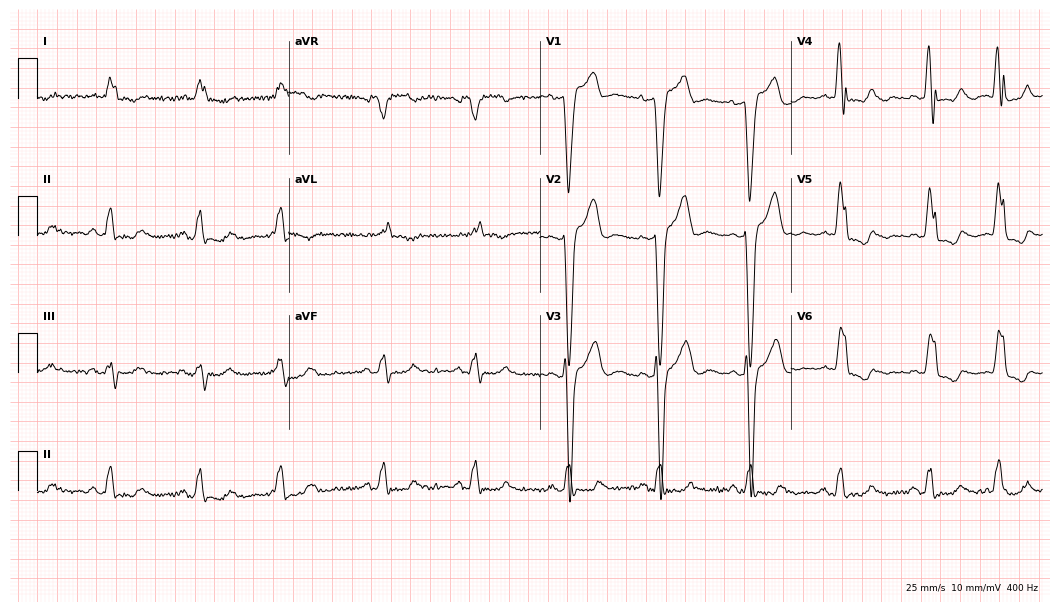
Resting 12-lead electrocardiogram (10.2-second recording at 400 Hz). Patient: a male, 75 years old. The tracing shows left bundle branch block.